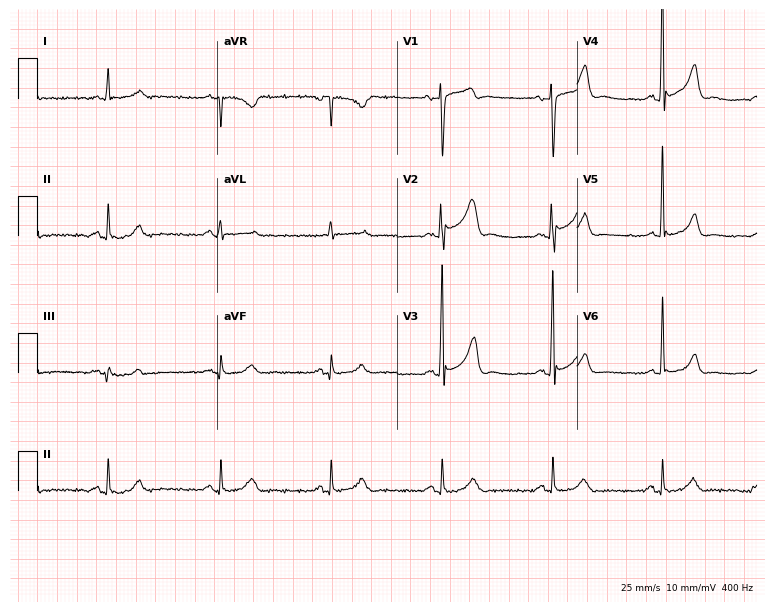
Electrocardiogram (7.3-second recording at 400 Hz), a man, 76 years old. Of the six screened findings (first-degree AV block, right bundle branch block, left bundle branch block, sinus bradycardia, atrial fibrillation, sinus tachycardia), none is recorded. Only these six findings were labelled.